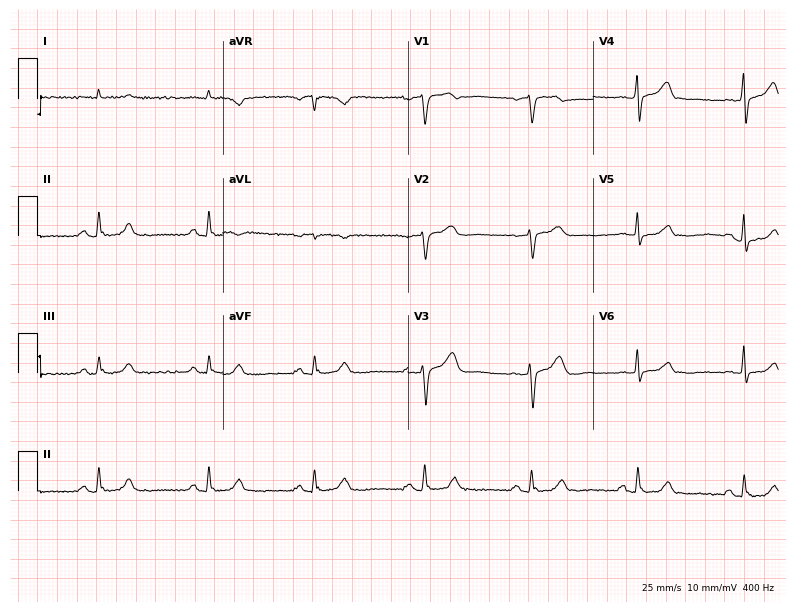
ECG — a 74-year-old male. Labelled as a normal ECG.